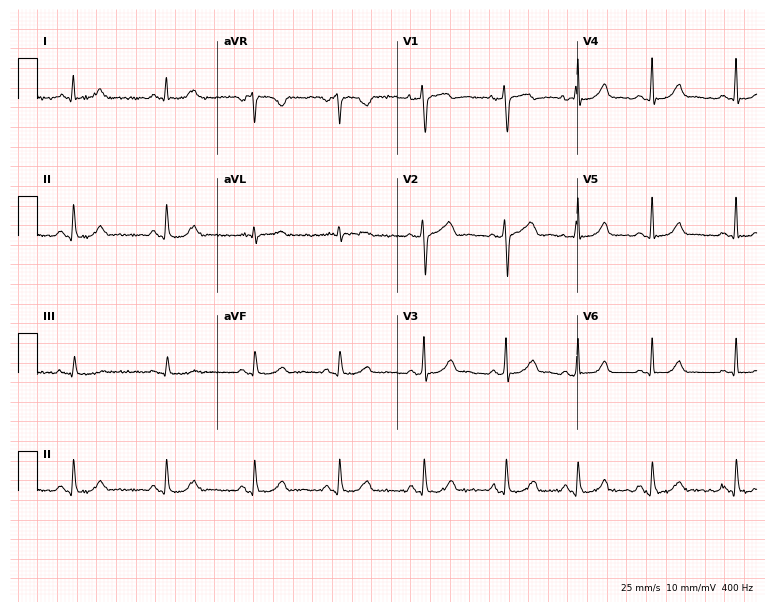
12-lead ECG from a female patient, 27 years old. Screened for six findings — first-degree AV block, right bundle branch block, left bundle branch block, sinus bradycardia, atrial fibrillation, sinus tachycardia — none is recorded.